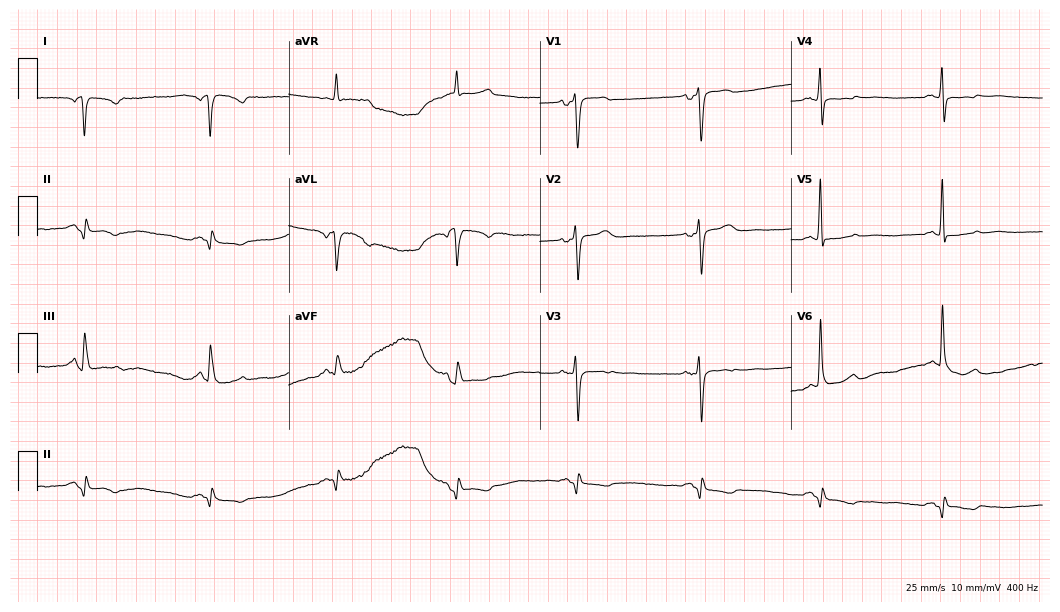
Standard 12-lead ECG recorded from a woman, 74 years old (10.2-second recording at 400 Hz). None of these six findings is recorded: first-degree AV block, right bundle branch block, left bundle branch block, sinus bradycardia, atrial fibrillation, sinus tachycardia.